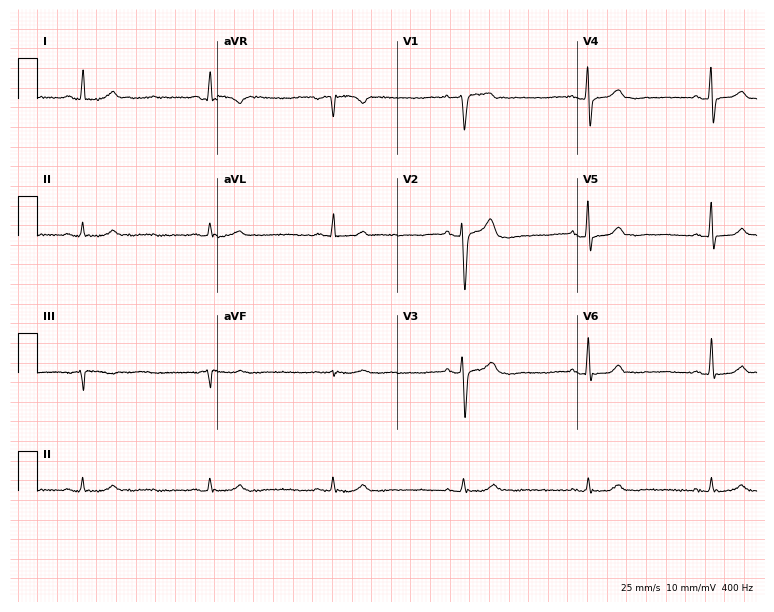
12-lead ECG from a 55-year-old man. Findings include sinus bradycardia (a sinus rate of 50 beats per minute or less).